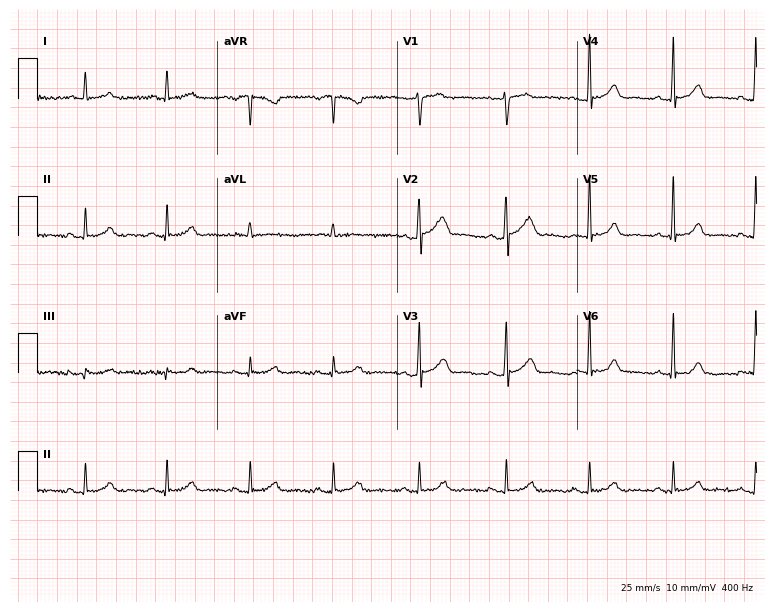
ECG (7.3-second recording at 400 Hz) — a 36-year-old man. Screened for six findings — first-degree AV block, right bundle branch block, left bundle branch block, sinus bradycardia, atrial fibrillation, sinus tachycardia — none is recorded.